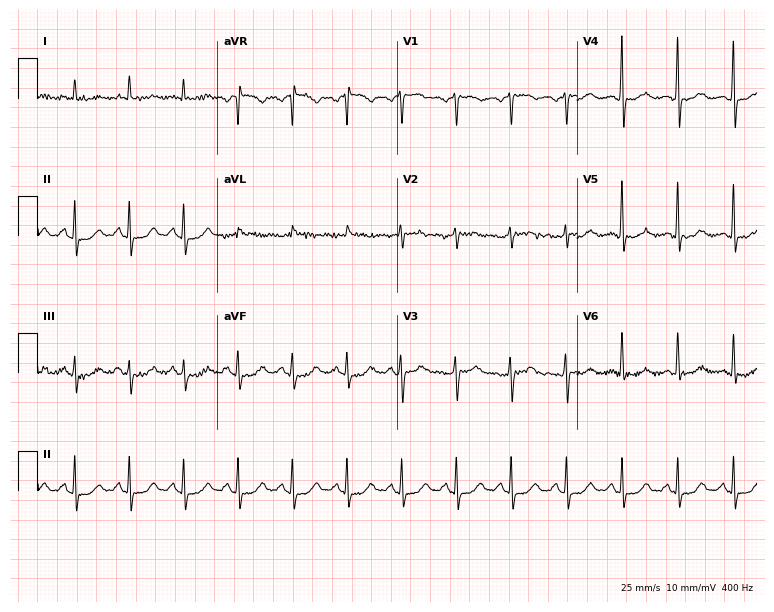
12-lead ECG from a male patient, 70 years old. Screened for six findings — first-degree AV block, right bundle branch block, left bundle branch block, sinus bradycardia, atrial fibrillation, sinus tachycardia — none is recorded. Findings outside these six are not listed.